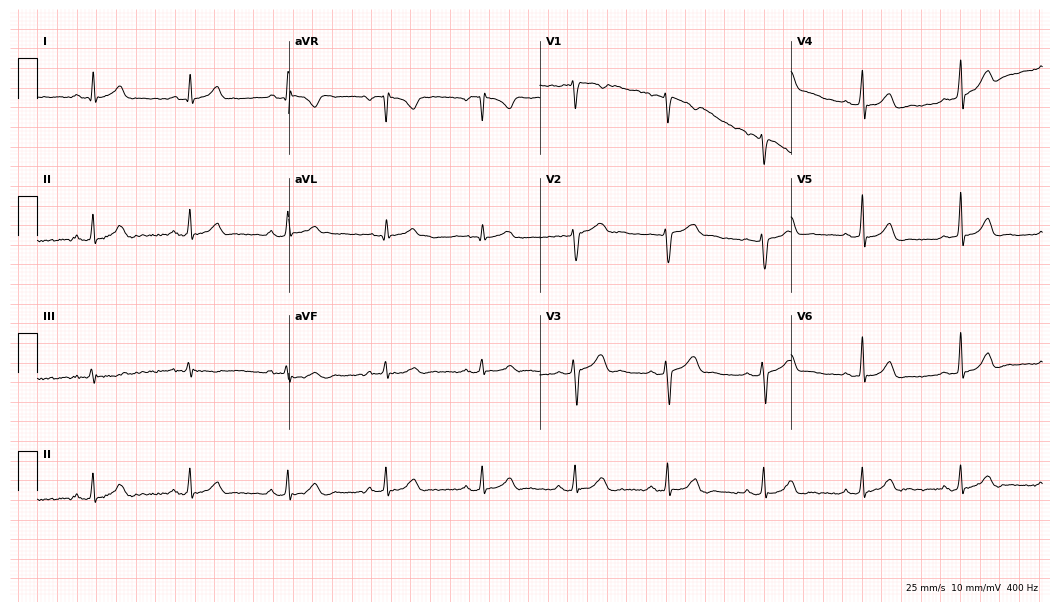
ECG — a 37-year-old woman. Labelled as a normal ECG.